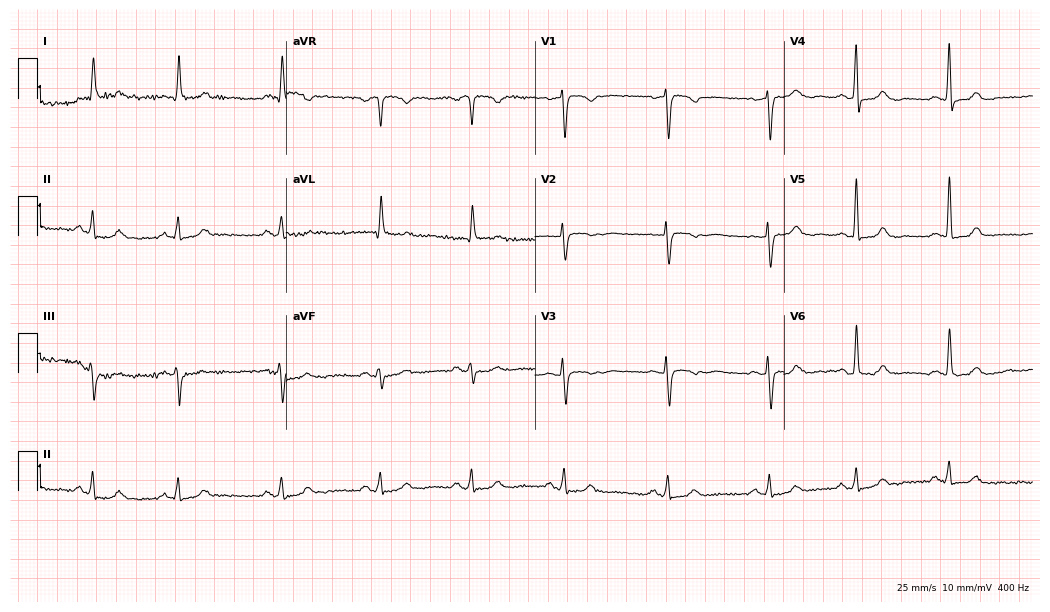
ECG (10.1-second recording at 400 Hz) — a 76-year-old woman. Screened for six findings — first-degree AV block, right bundle branch block (RBBB), left bundle branch block (LBBB), sinus bradycardia, atrial fibrillation (AF), sinus tachycardia — none is recorded. Other findings, if any, are not listed.